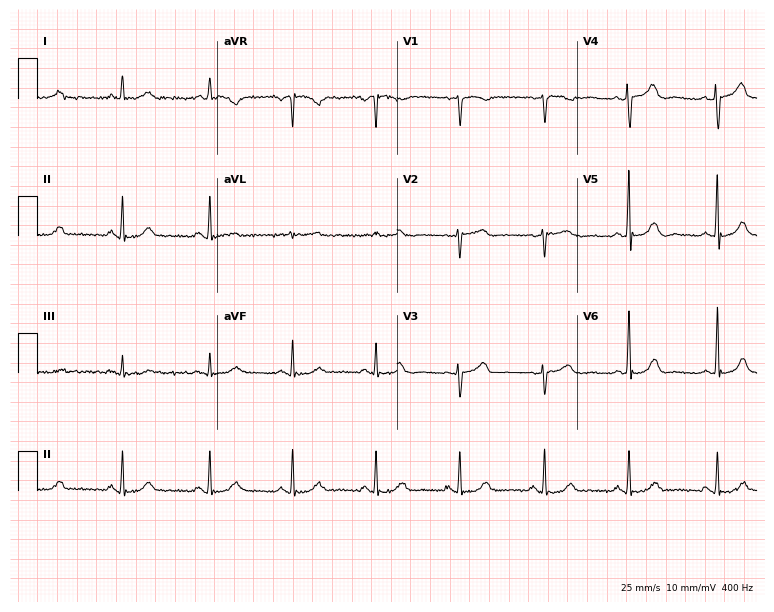
Standard 12-lead ECG recorded from a 48-year-old female (7.3-second recording at 400 Hz). Read as a normal ECG.